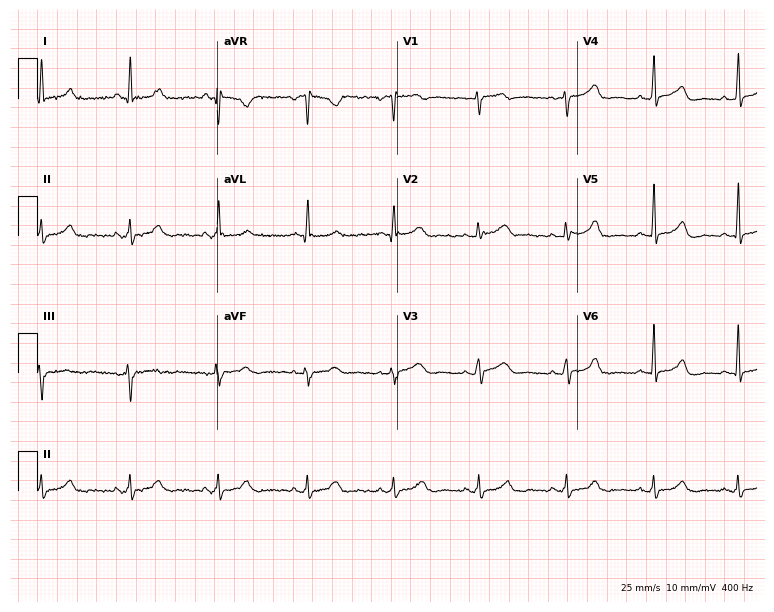
Standard 12-lead ECG recorded from a female patient, 45 years old (7.3-second recording at 400 Hz). Read as a normal ECG.